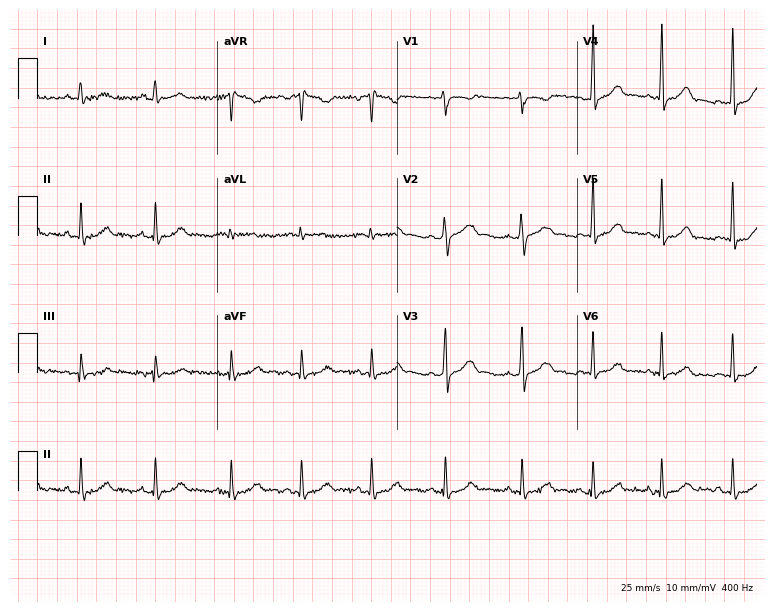
Electrocardiogram (7.3-second recording at 400 Hz), a 25-year-old female patient. Of the six screened findings (first-degree AV block, right bundle branch block, left bundle branch block, sinus bradycardia, atrial fibrillation, sinus tachycardia), none is recorded.